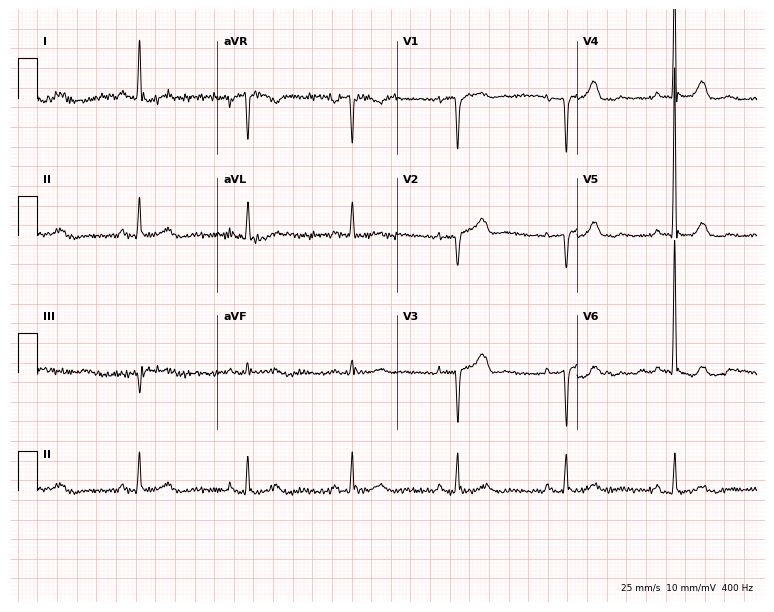
ECG — a female patient, 77 years old. Screened for six findings — first-degree AV block, right bundle branch block, left bundle branch block, sinus bradycardia, atrial fibrillation, sinus tachycardia — none is recorded. Findings outside these six are not listed.